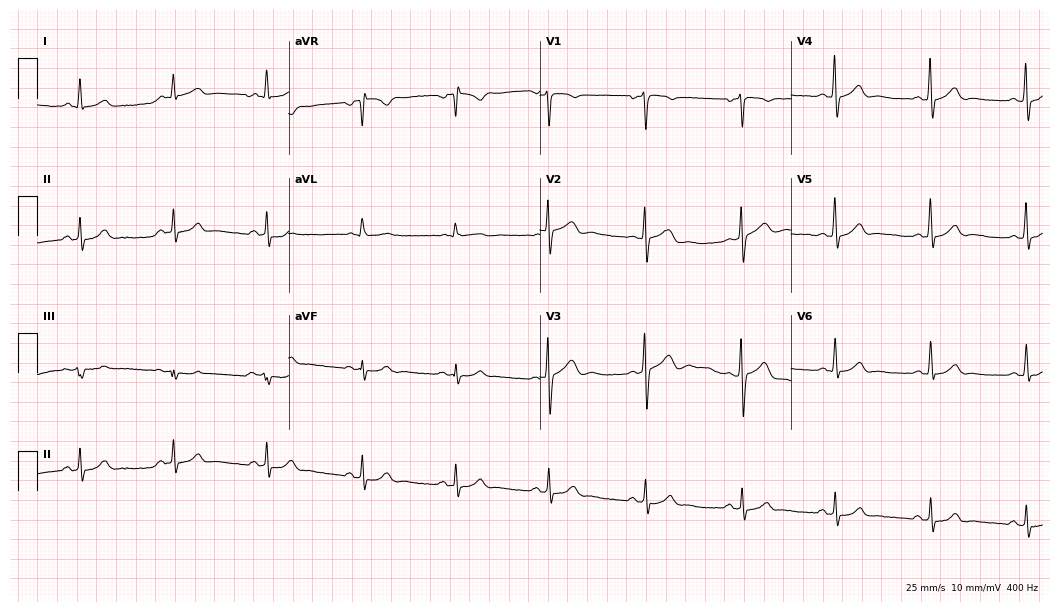
Electrocardiogram (10.2-second recording at 400 Hz), a man, 49 years old. Overall reading on record: normal ECG.